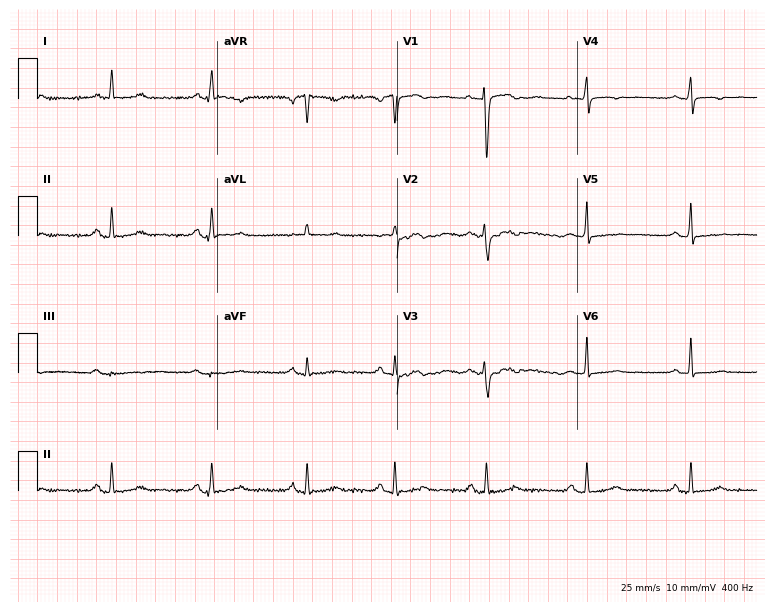
ECG (7.3-second recording at 400 Hz) — a female, 35 years old. Screened for six findings — first-degree AV block, right bundle branch block, left bundle branch block, sinus bradycardia, atrial fibrillation, sinus tachycardia — none is recorded. Findings outside these six are not listed.